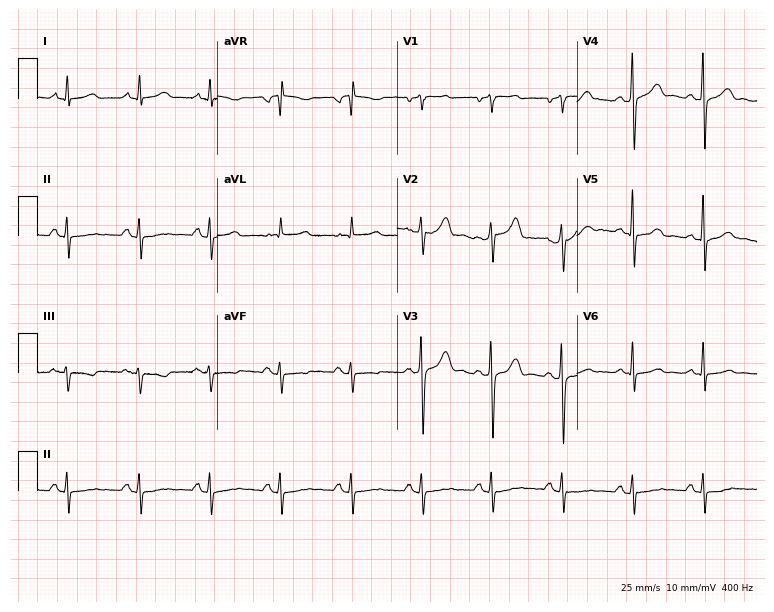
ECG — a male patient, 45 years old. Labelled as a normal ECG.